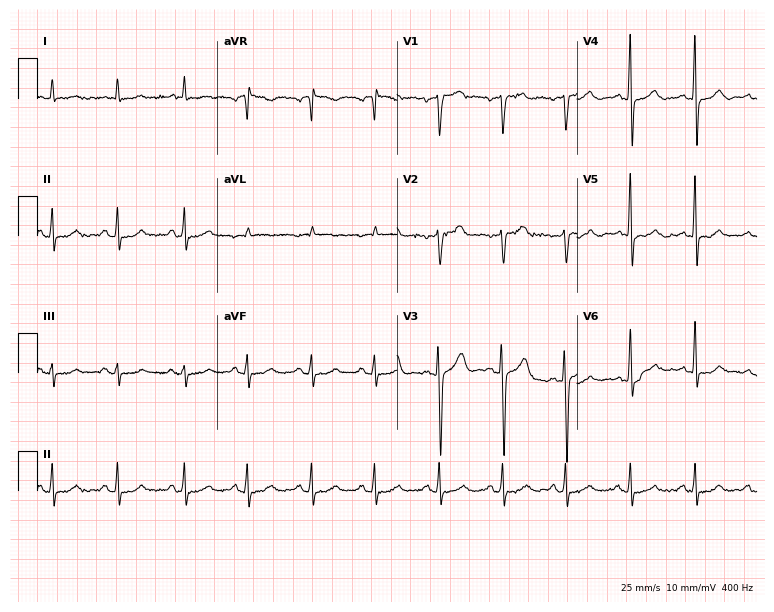
Electrocardiogram (7.3-second recording at 400 Hz), a 75-year-old male patient. Of the six screened findings (first-degree AV block, right bundle branch block, left bundle branch block, sinus bradycardia, atrial fibrillation, sinus tachycardia), none is recorded.